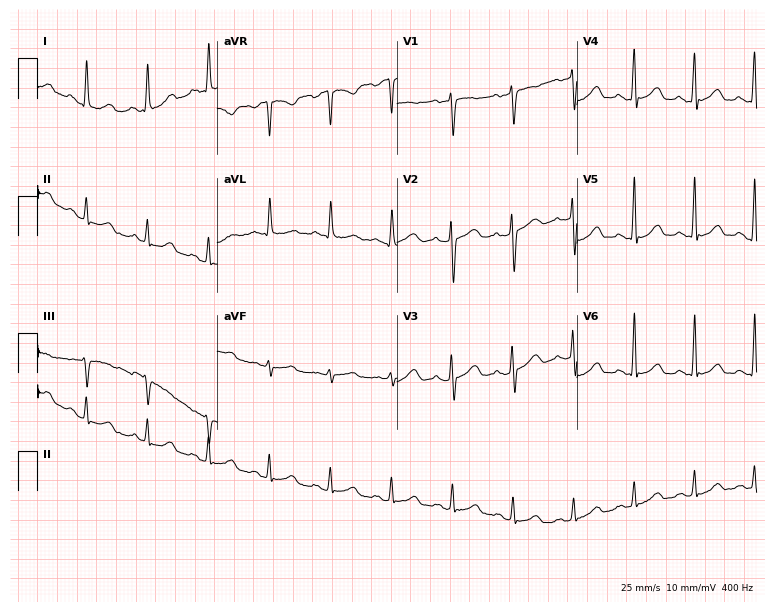
Electrocardiogram, a 41-year-old female patient. Of the six screened findings (first-degree AV block, right bundle branch block, left bundle branch block, sinus bradycardia, atrial fibrillation, sinus tachycardia), none is recorded. Other findings, if any, are not listed.